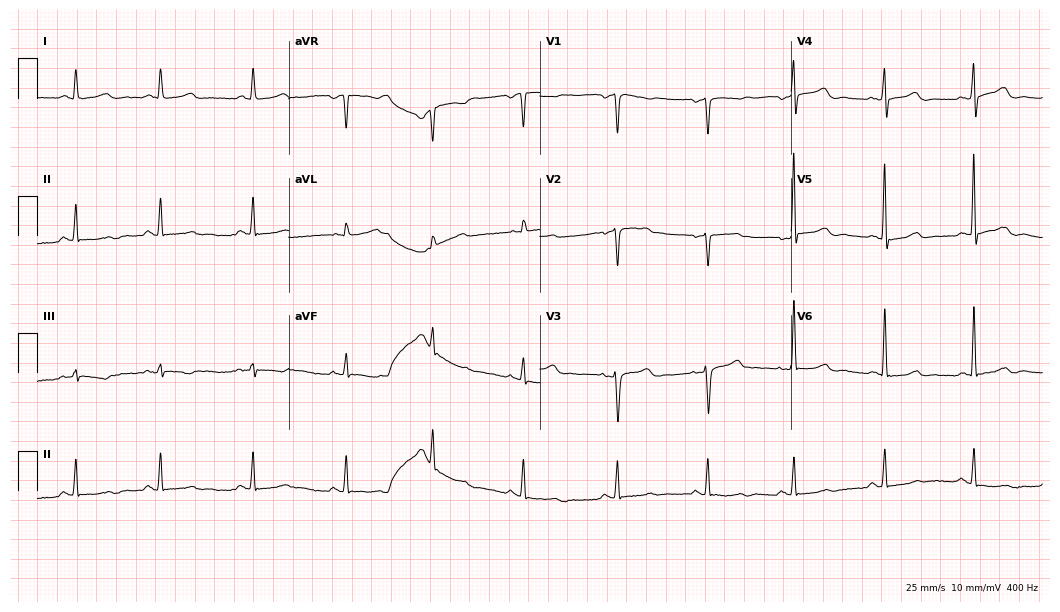
Electrocardiogram, a 57-year-old woman. Of the six screened findings (first-degree AV block, right bundle branch block, left bundle branch block, sinus bradycardia, atrial fibrillation, sinus tachycardia), none is recorded. Findings outside these six are not listed.